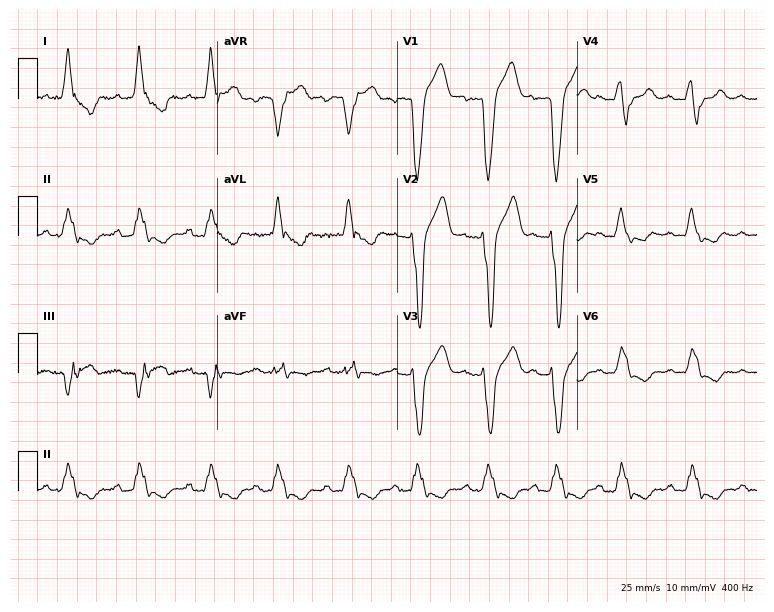
12-lead ECG (7.3-second recording at 400 Hz) from a 79-year-old man. Findings include left bundle branch block.